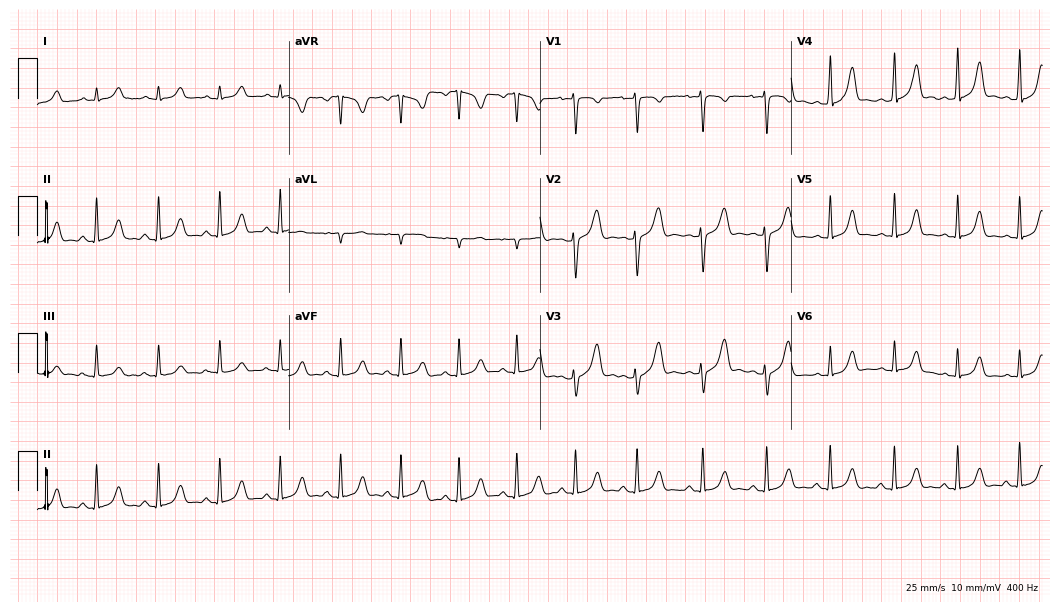
Standard 12-lead ECG recorded from a 22-year-old female patient (10.2-second recording at 400 Hz). Read as a normal ECG.